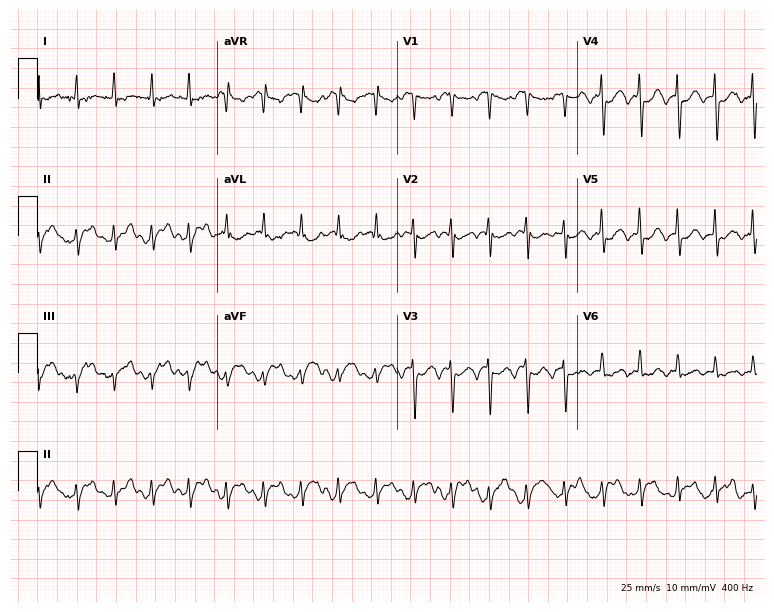
Standard 12-lead ECG recorded from a 58-year-old man (7.3-second recording at 400 Hz). The tracing shows sinus tachycardia (a sinus rate of 100 beats per minute or more).